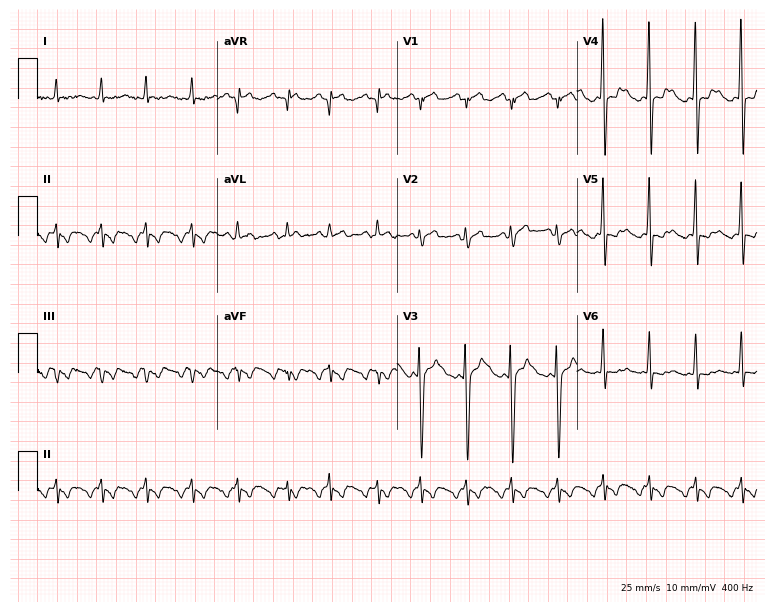
Electrocardiogram (7.3-second recording at 400 Hz), a male, 80 years old. Of the six screened findings (first-degree AV block, right bundle branch block, left bundle branch block, sinus bradycardia, atrial fibrillation, sinus tachycardia), none is recorded. Other findings, if any, are not listed.